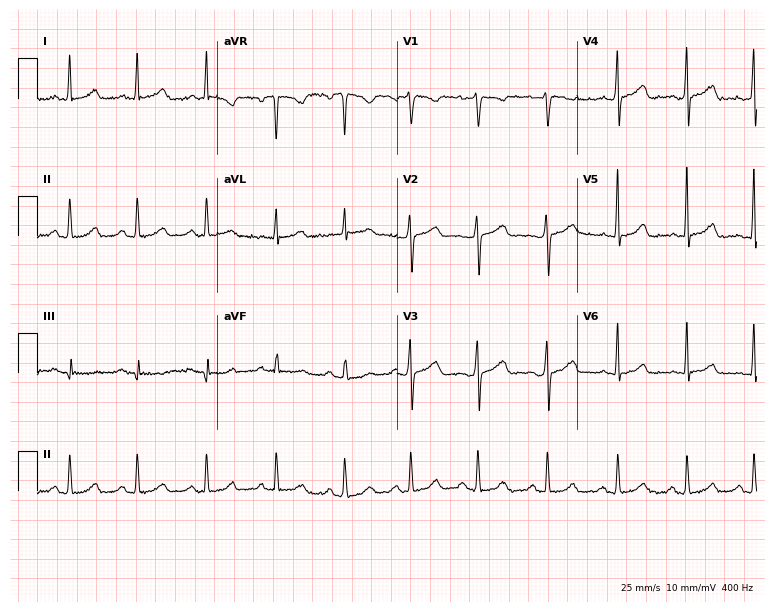
Electrocardiogram (7.3-second recording at 400 Hz), a woman, 29 years old. Of the six screened findings (first-degree AV block, right bundle branch block, left bundle branch block, sinus bradycardia, atrial fibrillation, sinus tachycardia), none is recorded.